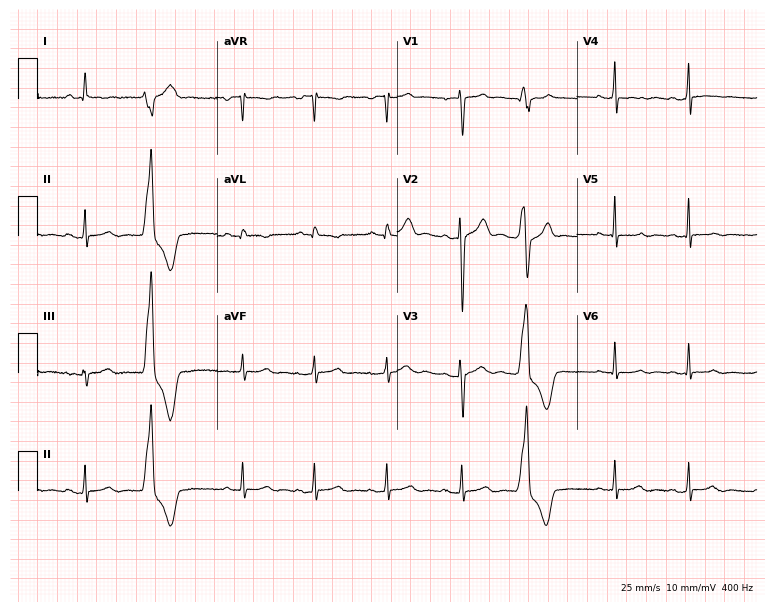
ECG (7.3-second recording at 400 Hz) — a 21-year-old female patient. Screened for six findings — first-degree AV block, right bundle branch block, left bundle branch block, sinus bradycardia, atrial fibrillation, sinus tachycardia — none is recorded.